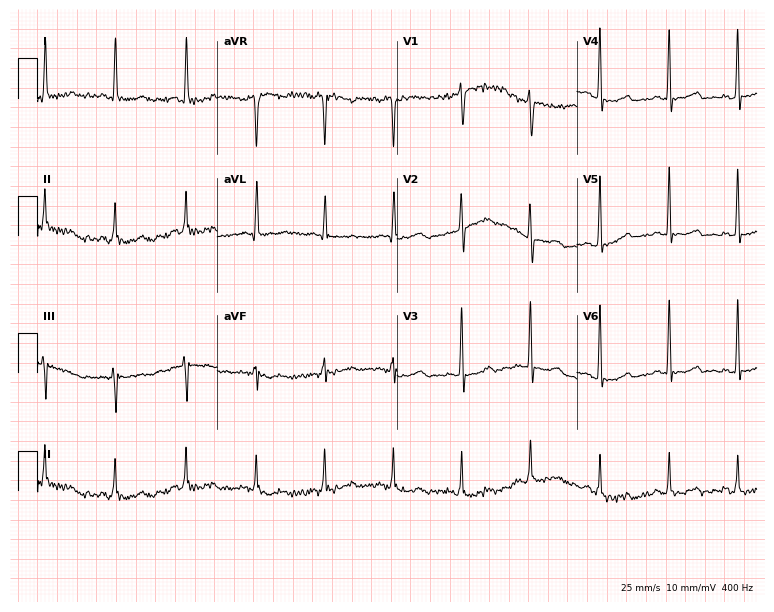
Electrocardiogram (7.3-second recording at 400 Hz), a woman, 58 years old. Of the six screened findings (first-degree AV block, right bundle branch block, left bundle branch block, sinus bradycardia, atrial fibrillation, sinus tachycardia), none is recorded. Findings outside these six are not listed.